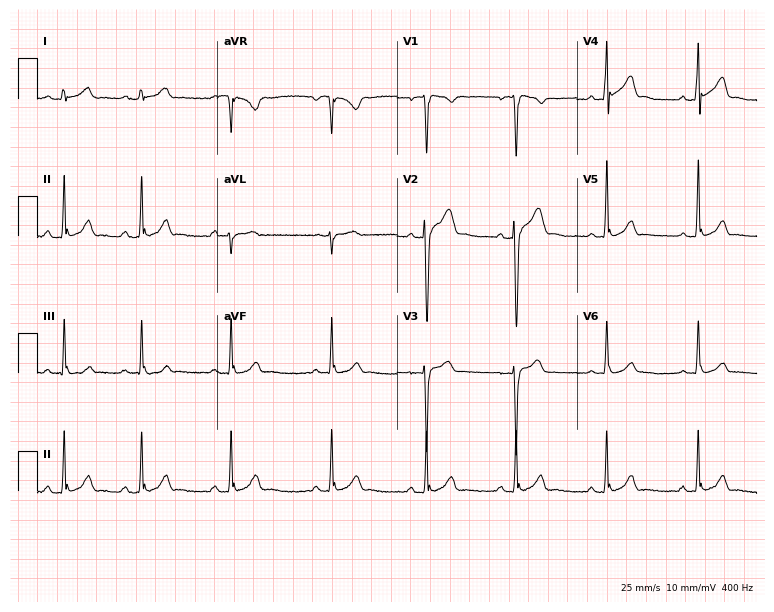
12-lead ECG from a 27-year-old male patient (7.3-second recording at 400 Hz). Recorded interpretation: within normal limits.